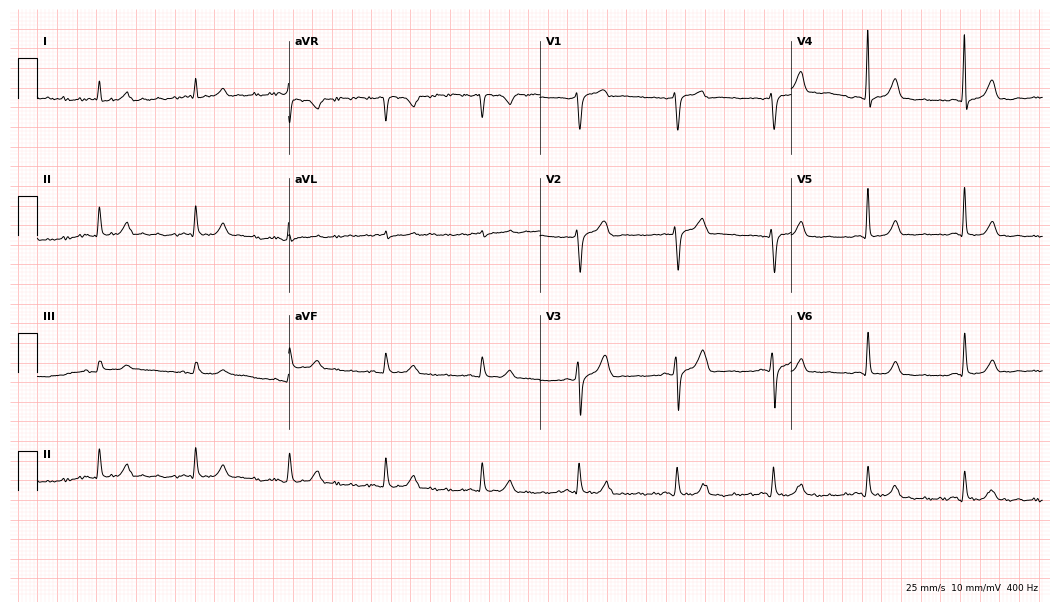
12-lead ECG (10.2-second recording at 400 Hz) from a 71-year-old male patient. Labelled as a normal ECG.